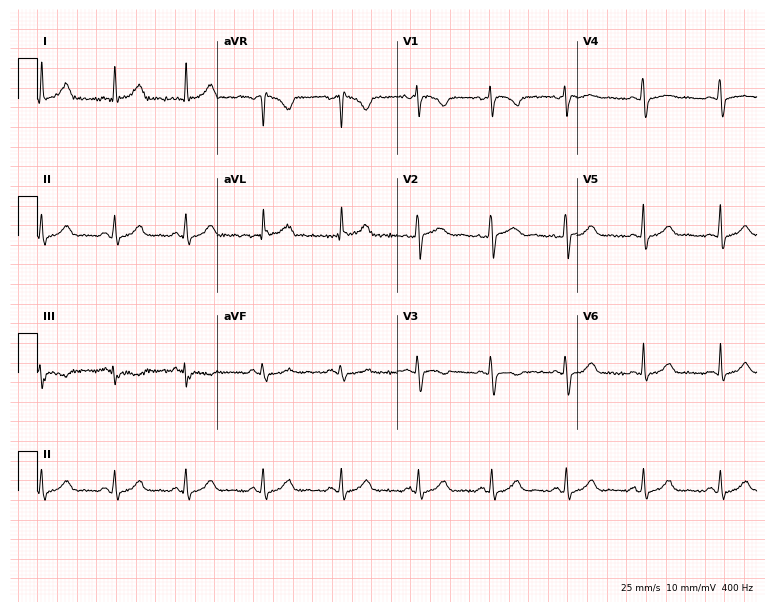
Electrocardiogram (7.3-second recording at 400 Hz), a 31-year-old female. Overall reading on record: normal ECG.